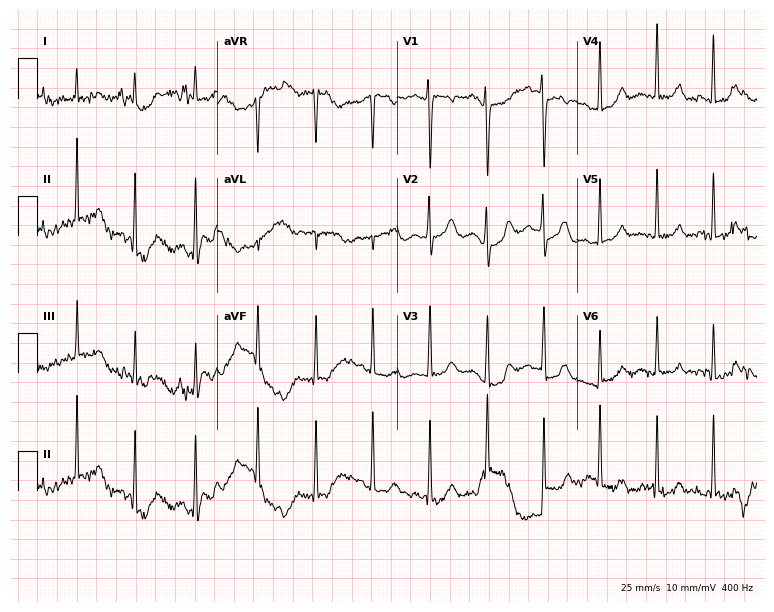
12-lead ECG from a 24-year-old woman. Labelled as a normal ECG.